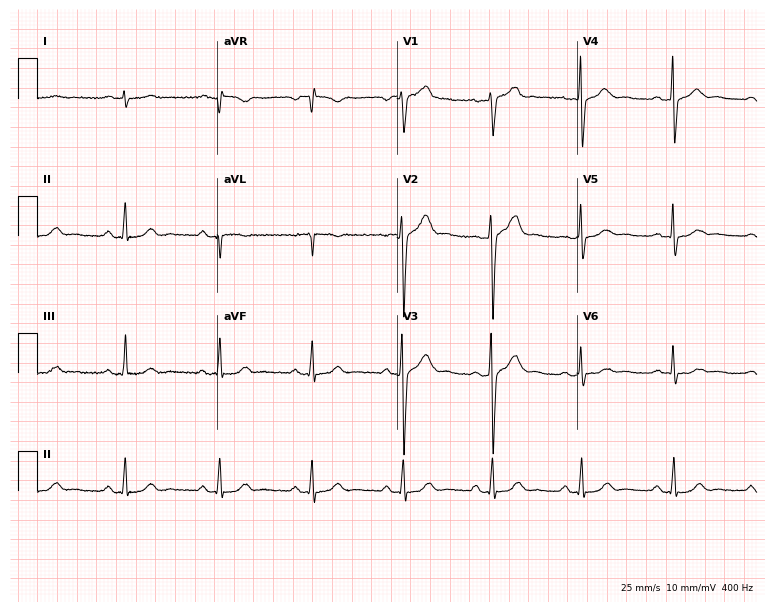
12-lead ECG from a 40-year-old male. No first-degree AV block, right bundle branch block, left bundle branch block, sinus bradycardia, atrial fibrillation or sinus tachycardia recorded for this tracing.